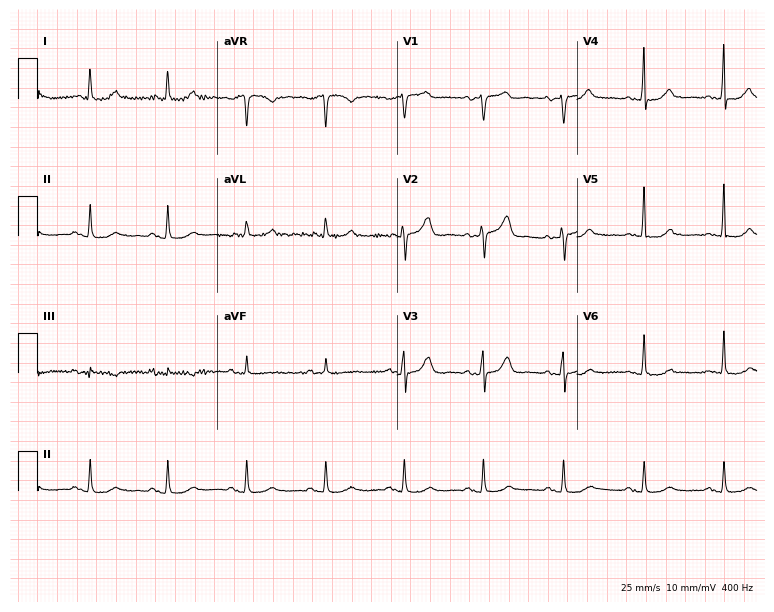
Electrocardiogram, a 76-year-old female. Of the six screened findings (first-degree AV block, right bundle branch block (RBBB), left bundle branch block (LBBB), sinus bradycardia, atrial fibrillation (AF), sinus tachycardia), none is recorded. Findings outside these six are not listed.